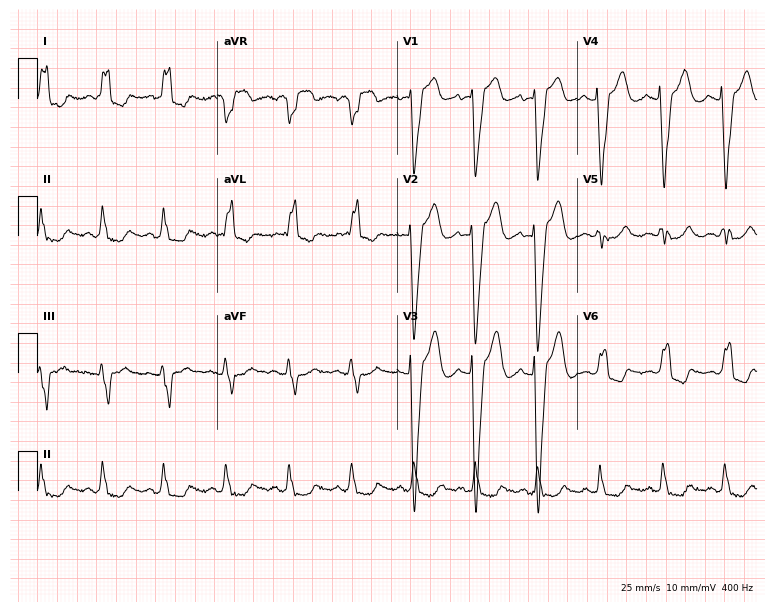
Standard 12-lead ECG recorded from a woman, 86 years old (7.3-second recording at 400 Hz). The tracing shows left bundle branch block.